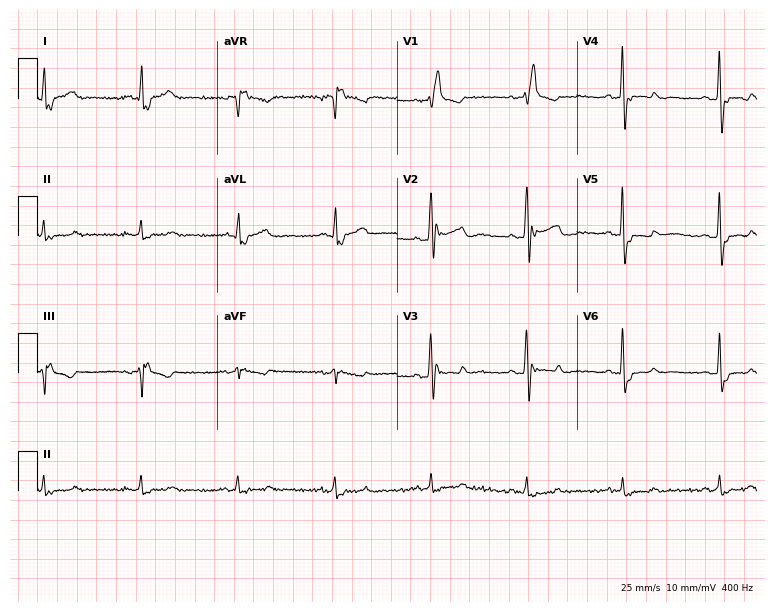
Electrocardiogram, a 53-year-old man. Interpretation includes right bundle branch block (RBBB).